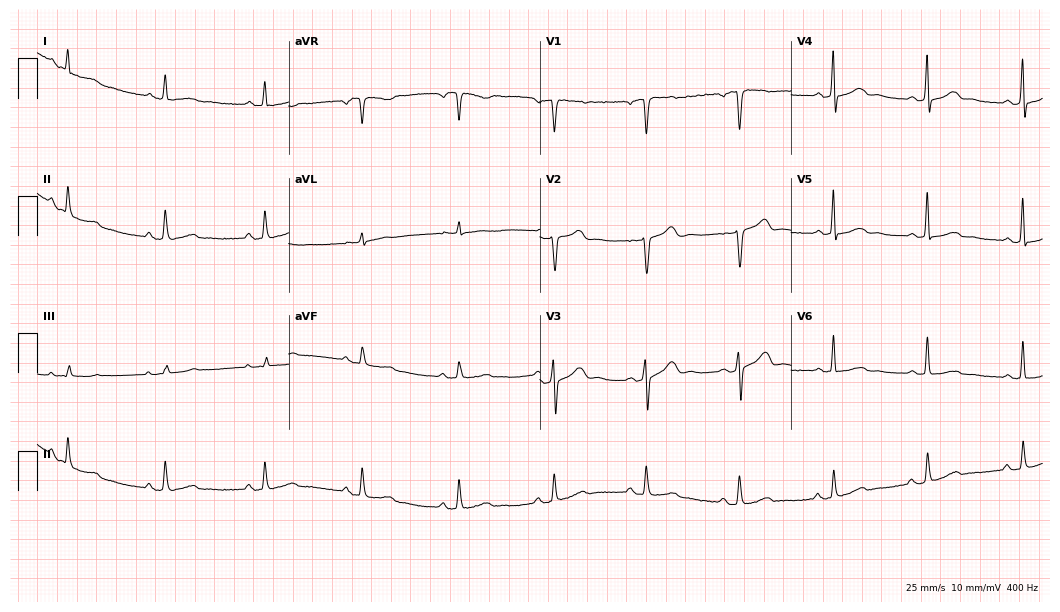
12-lead ECG (10.2-second recording at 400 Hz) from a 48-year-old male. Screened for six findings — first-degree AV block, right bundle branch block, left bundle branch block, sinus bradycardia, atrial fibrillation, sinus tachycardia — none is recorded. Only these six findings were labelled.